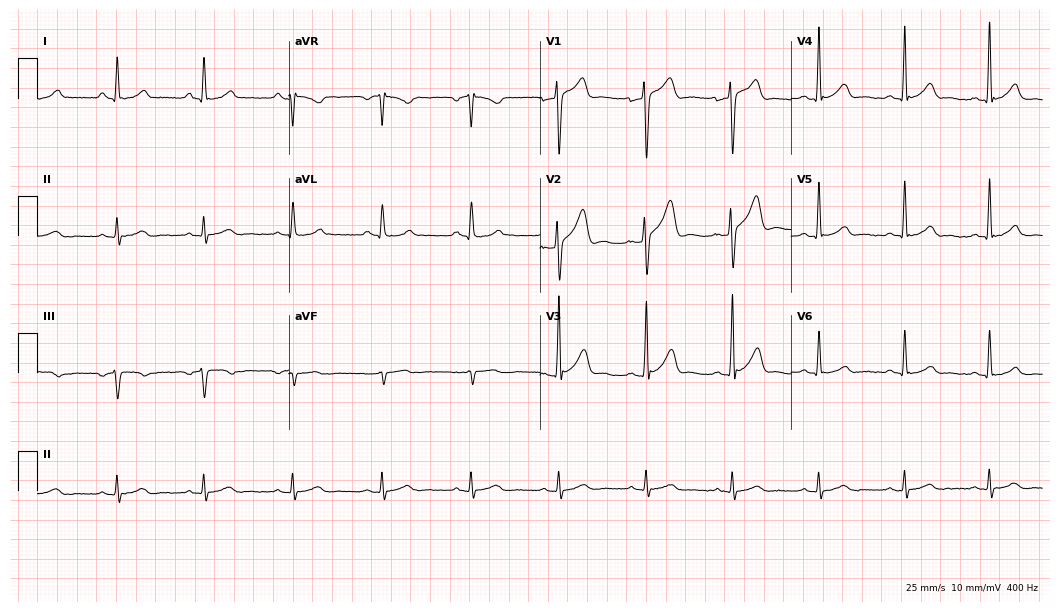
12-lead ECG from a male, 35 years old (10.2-second recording at 400 Hz). Recorded interpretation: within normal limits.